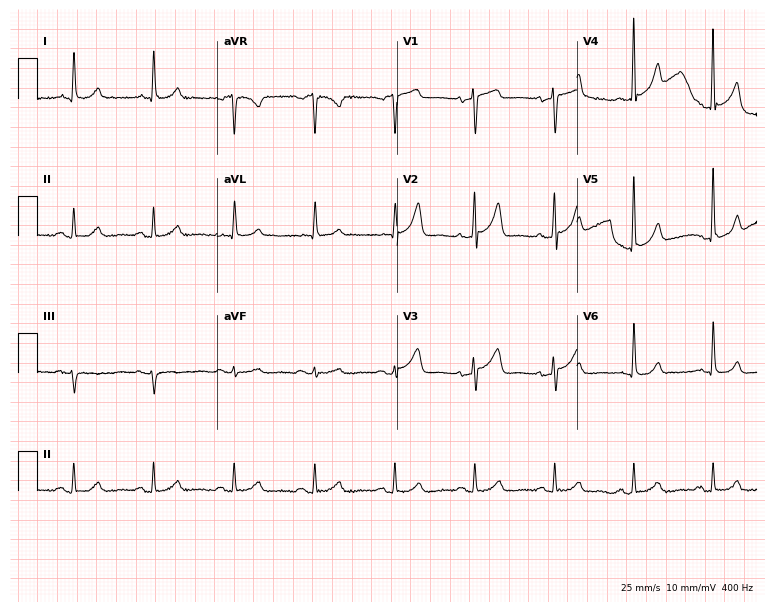
ECG — a man, 60 years old. Screened for six findings — first-degree AV block, right bundle branch block, left bundle branch block, sinus bradycardia, atrial fibrillation, sinus tachycardia — none is recorded. Only these six findings were labelled.